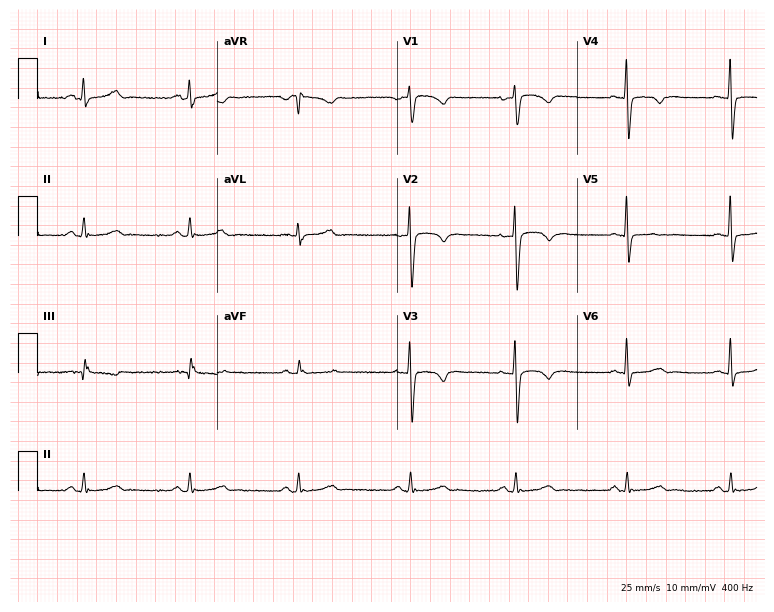
12-lead ECG from a female patient, 50 years old. No first-degree AV block, right bundle branch block, left bundle branch block, sinus bradycardia, atrial fibrillation or sinus tachycardia recorded for this tracing. Other findings, if any, are not listed.